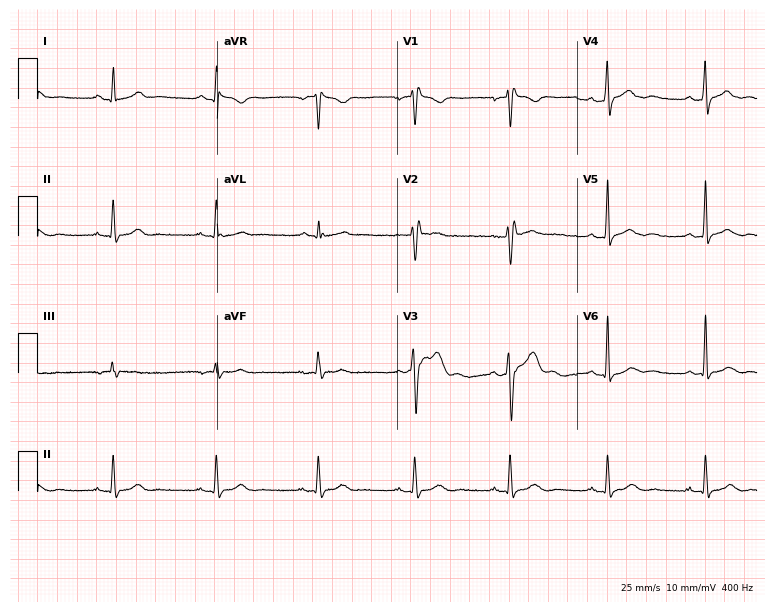
Standard 12-lead ECG recorded from a 38-year-old male (7.3-second recording at 400 Hz). None of these six findings is recorded: first-degree AV block, right bundle branch block, left bundle branch block, sinus bradycardia, atrial fibrillation, sinus tachycardia. Other findings, if any, are not listed.